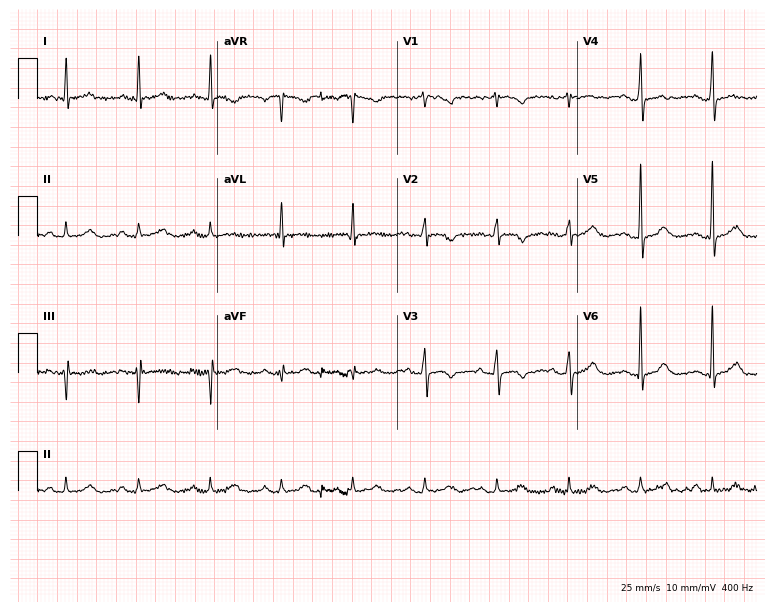
Standard 12-lead ECG recorded from a female, 68 years old. None of these six findings is recorded: first-degree AV block, right bundle branch block (RBBB), left bundle branch block (LBBB), sinus bradycardia, atrial fibrillation (AF), sinus tachycardia. Findings outside these six are not listed.